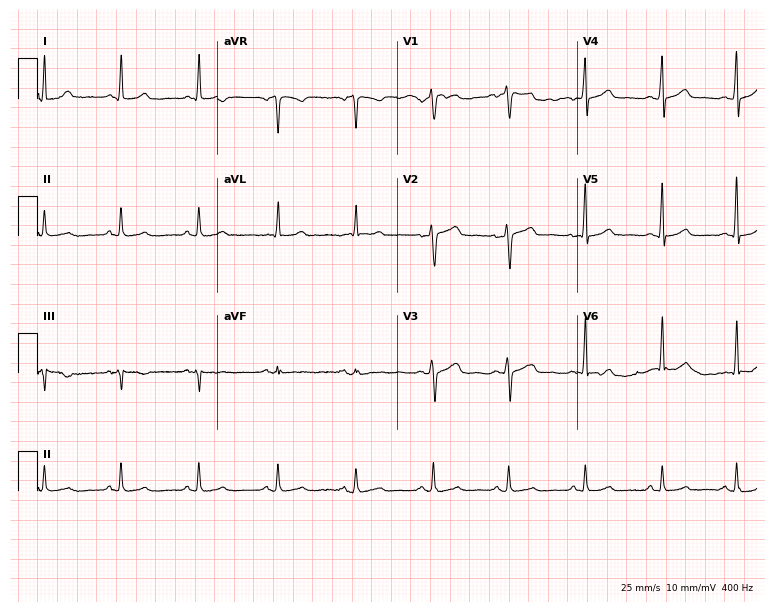
ECG — a 40-year-old female. Labelled as a normal ECG.